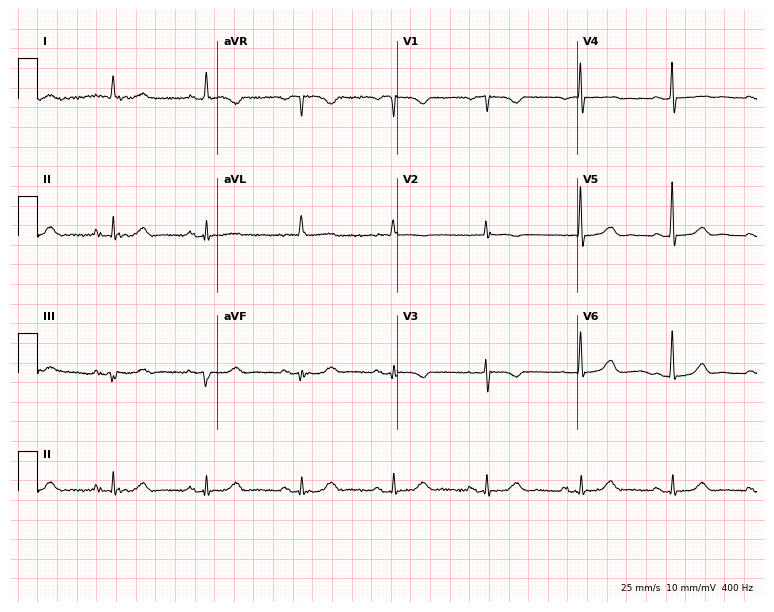
ECG (7.3-second recording at 400 Hz) — a female, 75 years old. Labelled as a normal ECG.